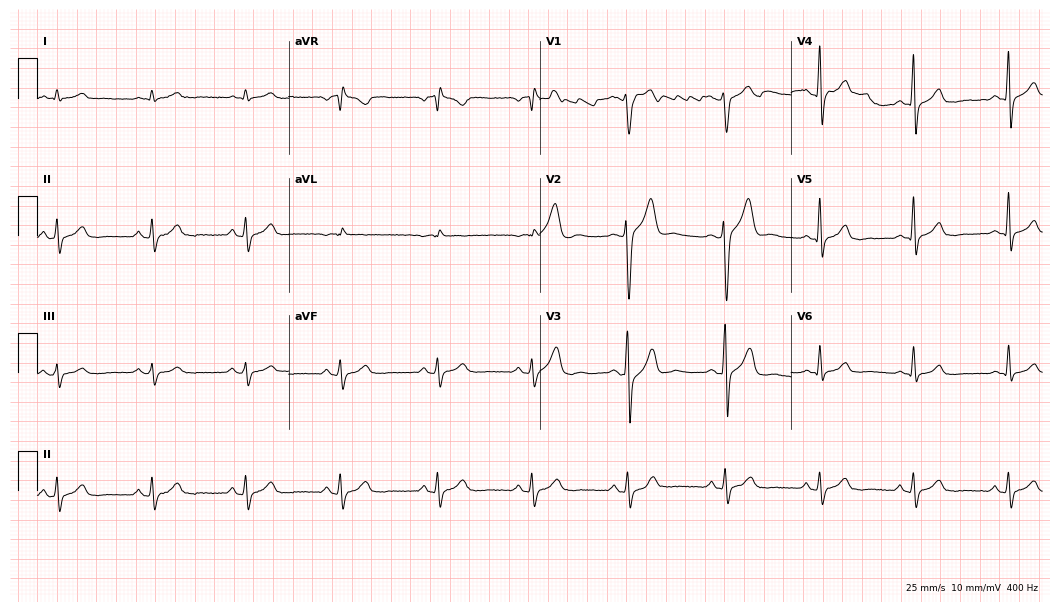
12-lead ECG from a male patient, 53 years old (10.2-second recording at 400 Hz). Recorded interpretation: within normal limits.